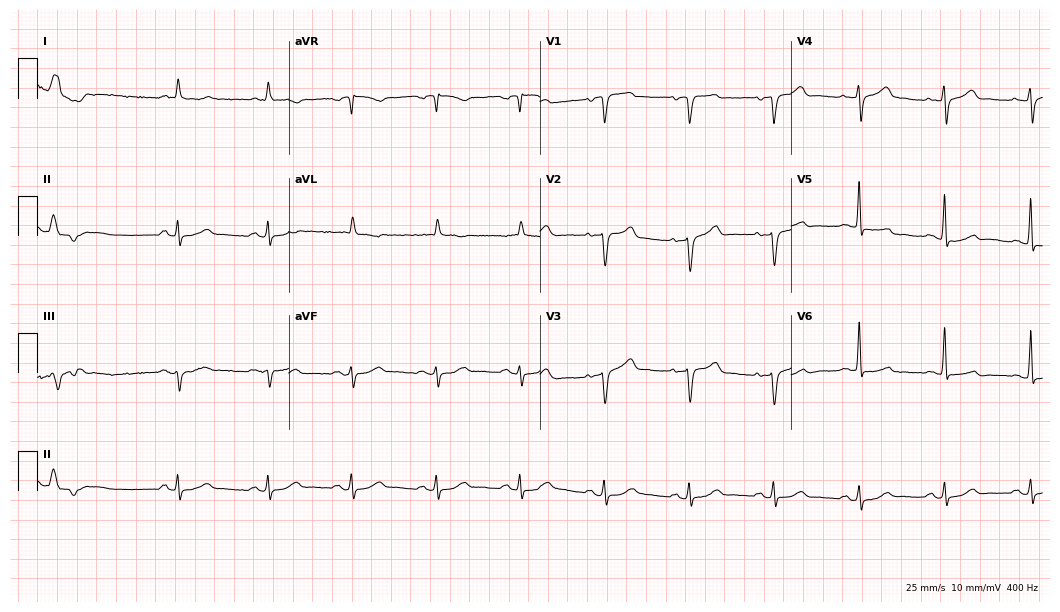
Resting 12-lead electrocardiogram (10.2-second recording at 400 Hz). Patient: an 84-year-old male. None of these six findings is recorded: first-degree AV block, right bundle branch block, left bundle branch block, sinus bradycardia, atrial fibrillation, sinus tachycardia.